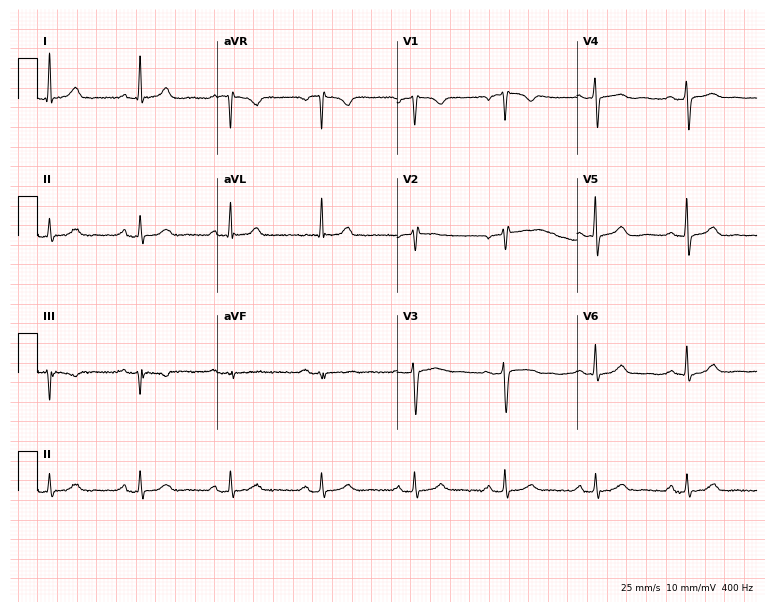
12-lead ECG from a woman, 51 years old. No first-degree AV block, right bundle branch block, left bundle branch block, sinus bradycardia, atrial fibrillation or sinus tachycardia recorded for this tracing. Other findings, if any, are not listed.